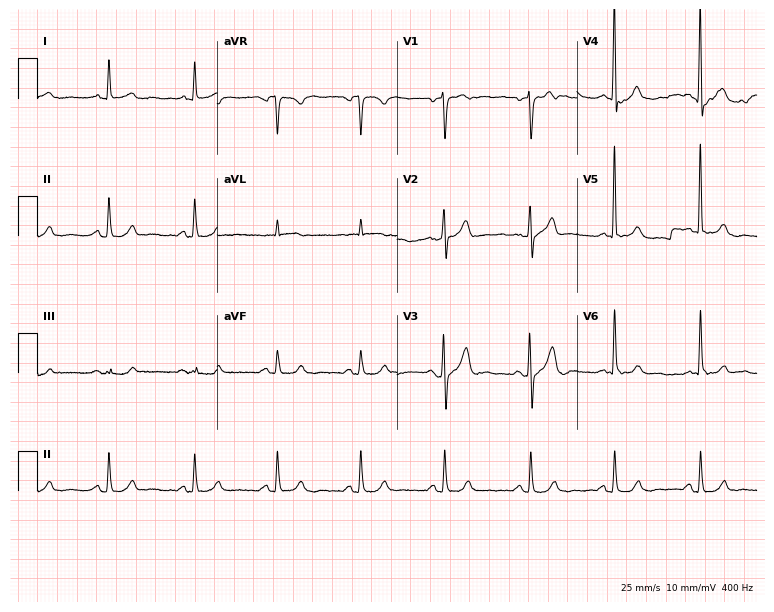
12-lead ECG from a man, 72 years old (7.3-second recording at 400 Hz). No first-degree AV block, right bundle branch block (RBBB), left bundle branch block (LBBB), sinus bradycardia, atrial fibrillation (AF) or sinus tachycardia recorded for this tracing.